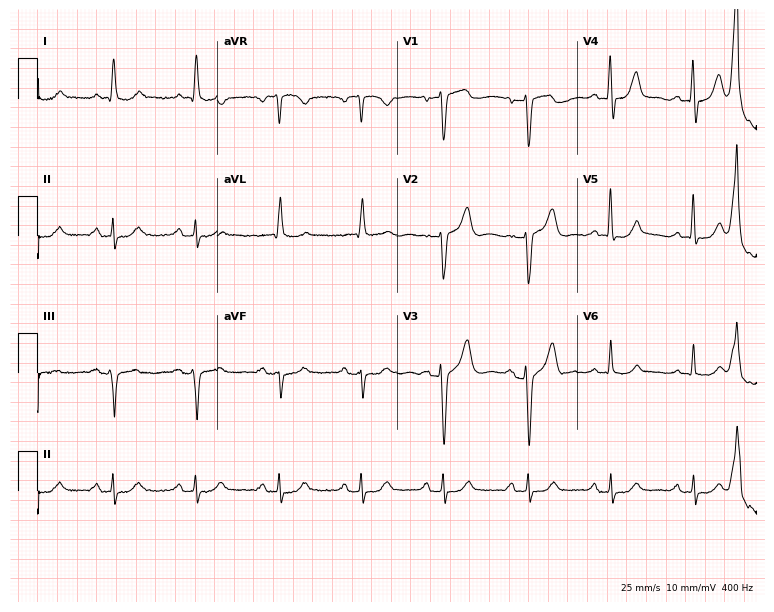
Standard 12-lead ECG recorded from a 61-year-old male patient (7.3-second recording at 400 Hz). Read as a normal ECG.